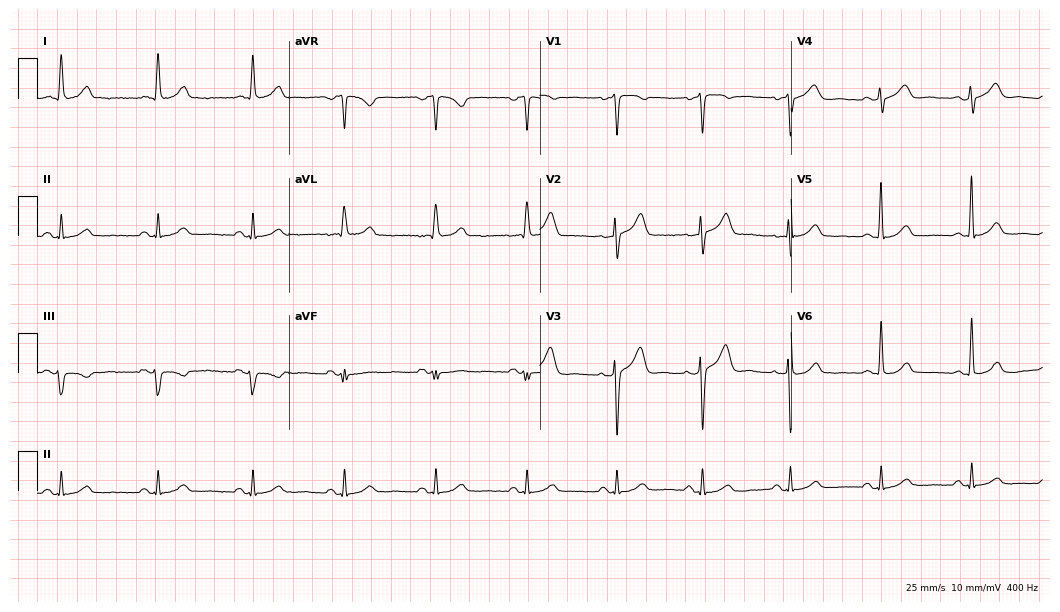
12-lead ECG from a female, 58 years old (10.2-second recording at 400 Hz). Recorded interpretation: within normal limits.